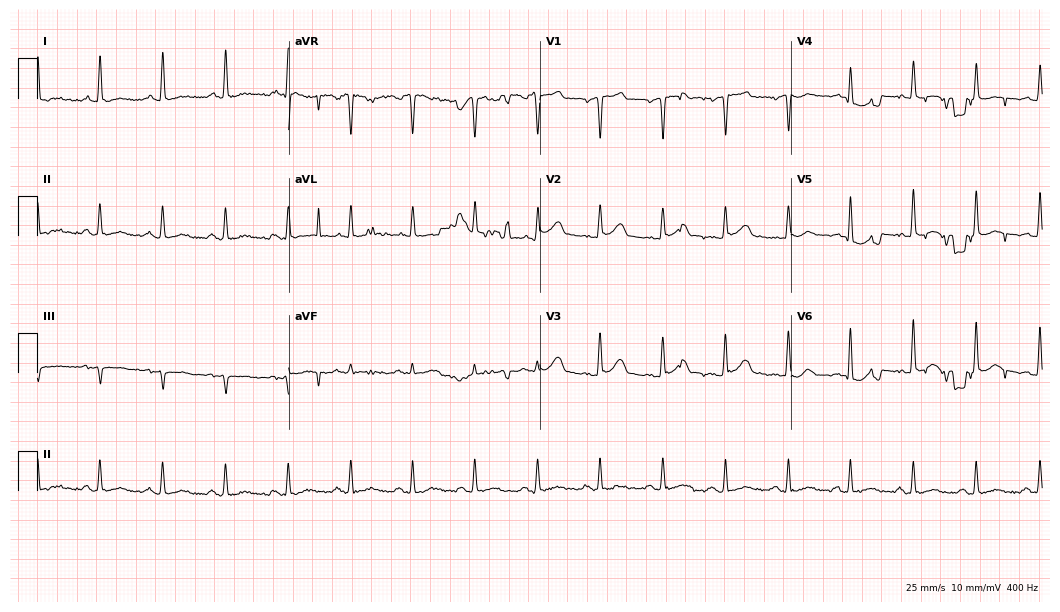
12-lead ECG from a 42-year-old male patient. Screened for six findings — first-degree AV block, right bundle branch block, left bundle branch block, sinus bradycardia, atrial fibrillation, sinus tachycardia — none is recorded.